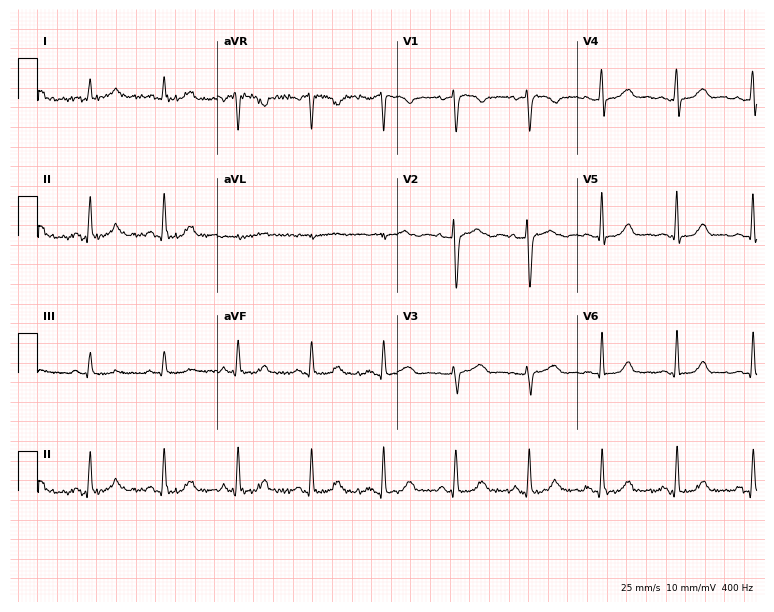
Standard 12-lead ECG recorded from a 33-year-old woman. Read as a normal ECG.